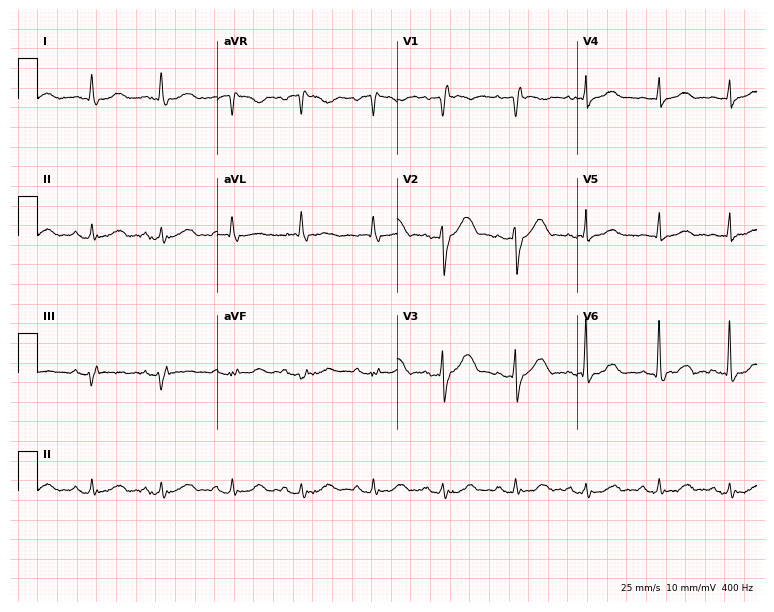
ECG — a 70-year-old male patient. Screened for six findings — first-degree AV block, right bundle branch block (RBBB), left bundle branch block (LBBB), sinus bradycardia, atrial fibrillation (AF), sinus tachycardia — none is recorded. Only these six findings were labelled.